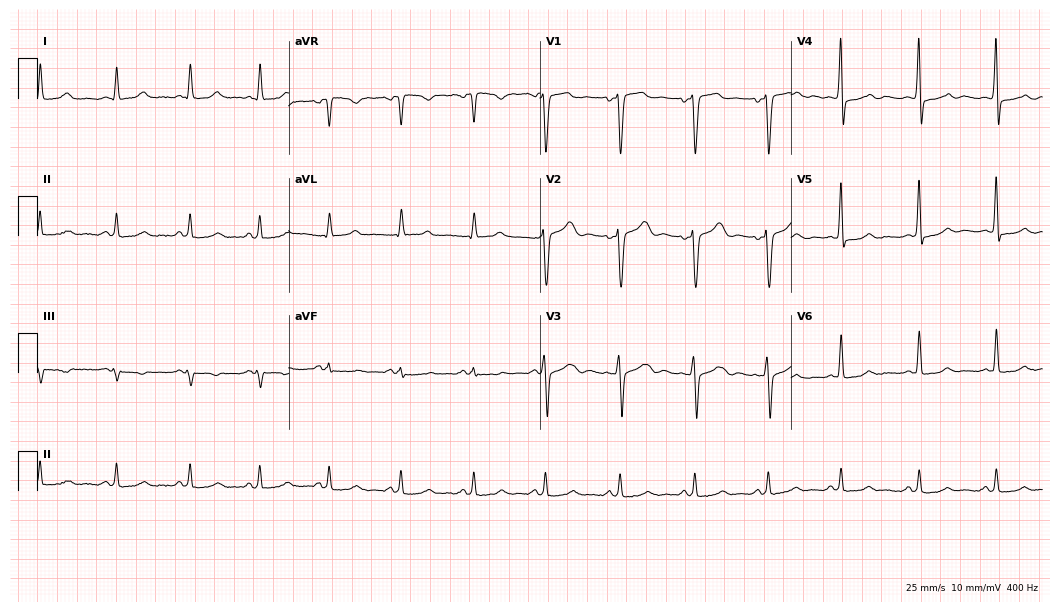
Electrocardiogram, a 46-year-old male. Of the six screened findings (first-degree AV block, right bundle branch block (RBBB), left bundle branch block (LBBB), sinus bradycardia, atrial fibrillation (AF), sinus tachycardia), none is recorded.